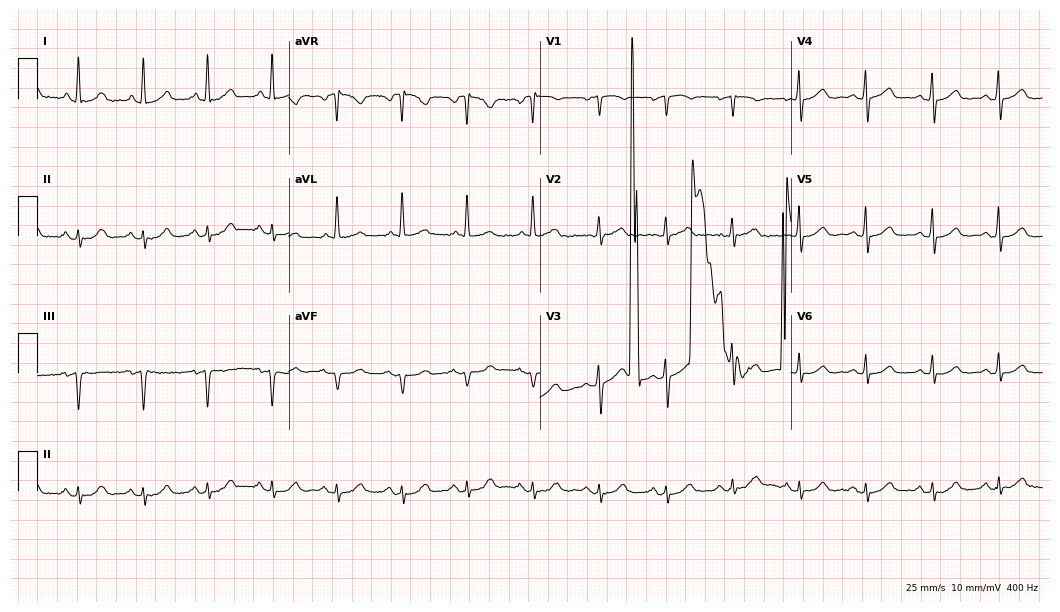
Standard 12-lead ECG recorded from a 70-year-old female (10.2-second recording at 400 Hz). None of these six findings is recorded: first-degree AV block, right bundle branch block, left bundle branch block, sinus bradycardia, atrial fibrillation, sinus tachycardia.